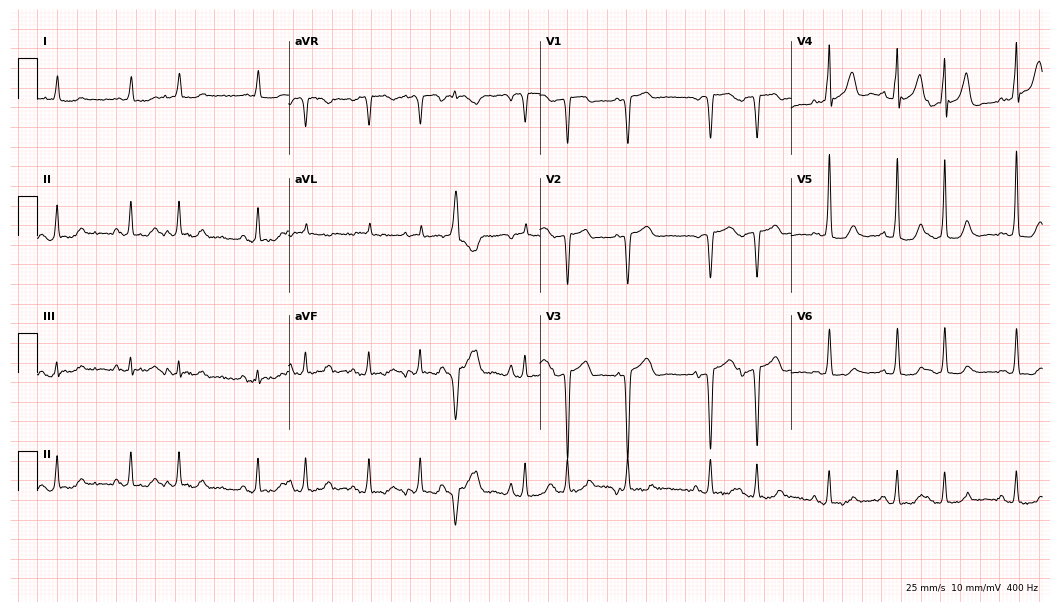
ECG (10.2-second recording at 400 Hz) — a woman, 82 years old. Screened for six findings — first-degree AV block, right bundle branch block (RBBB), left bundle branch block (LBBB), sinus bradycardia, atrial fibrillation (AF), sinus tachycardia — none is recorded.